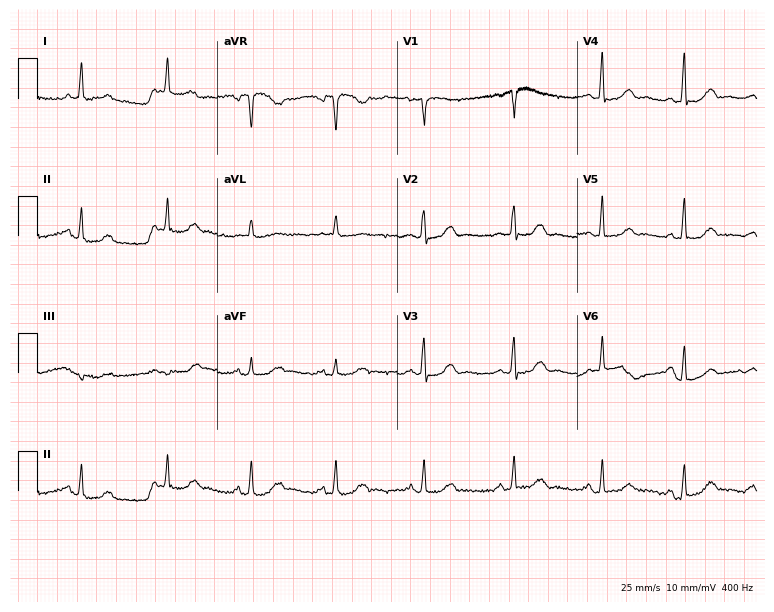
12-lead ECG (7.3-second recording at 400 Hz) from a female patient, 59 years old. Screened for six findings — first-degree AV block, right bundle branch block, left bundle branch block, sinus bradycardia, atrial fibrillation, sinus tachycardia — none is recorded. Other findings, if any, are not listed.